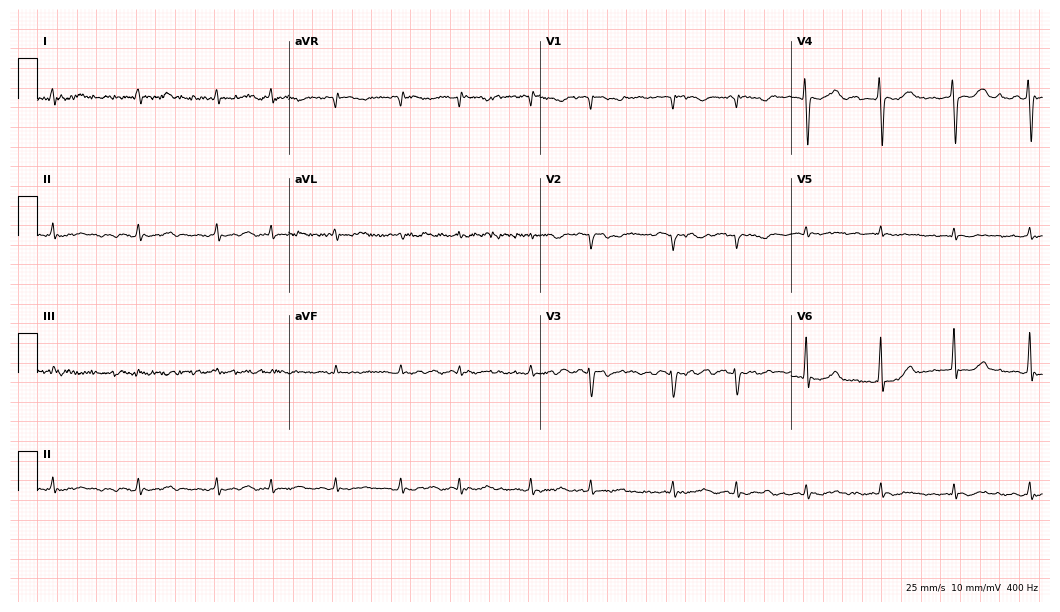
Resting 12-lead electrocardiogram. Patient: an 82-year-old male. The tracing shows atrial fibrillation.